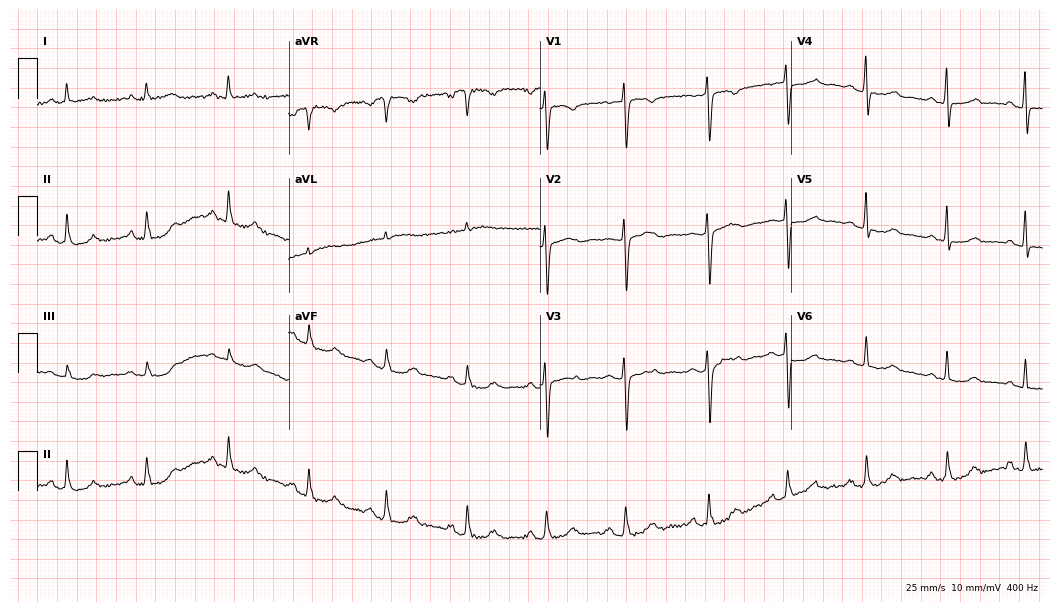
12-lead ECG from a 54-year-old female patient. No first-degree AV block, right bundle branch block, left bundle branch block, sinus bradycardia, atrial fibrillation or sinus tachycardia recorded for this tracing. Findings outside these six are not listed.